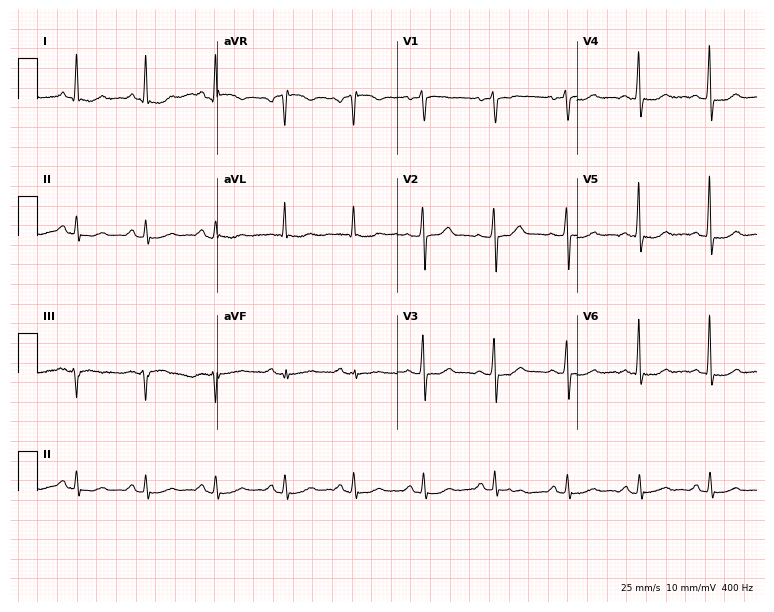
Resting 12-lead electrocardiogram (7.3-second recording at 400 Hz). Patient: a 61-year-old woman. Read as a normal ECG.